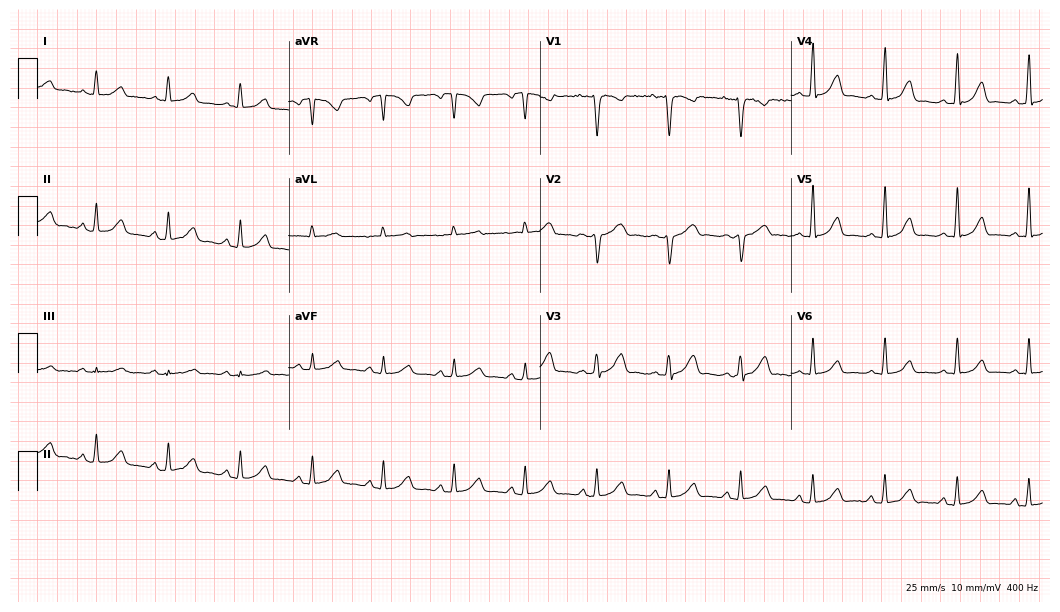
12-lead ECG from a 44-year-old woman (10.2-second recording at 400 Hz). Recorded interpretation: within normal limits.